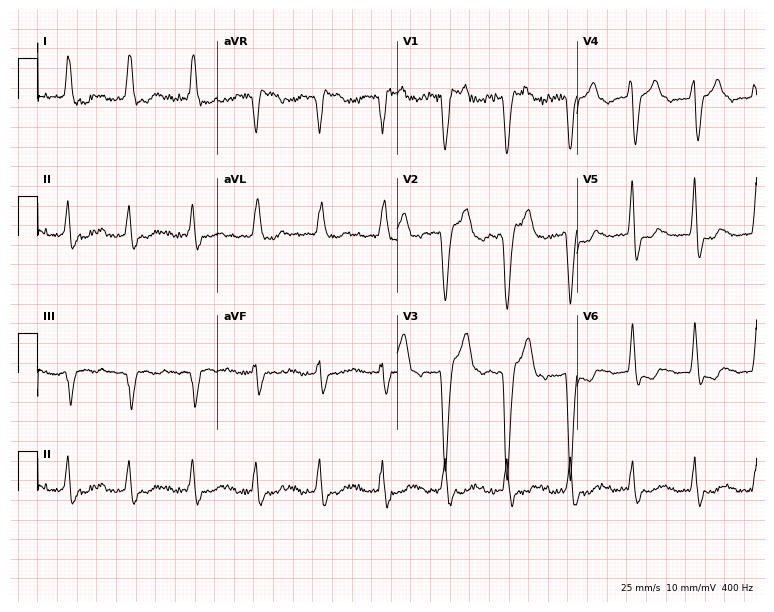
12-lead ECG from an 85-year-old male (7.3-second recording at 400 Hz). Shows left bundle branch block (LBBB).